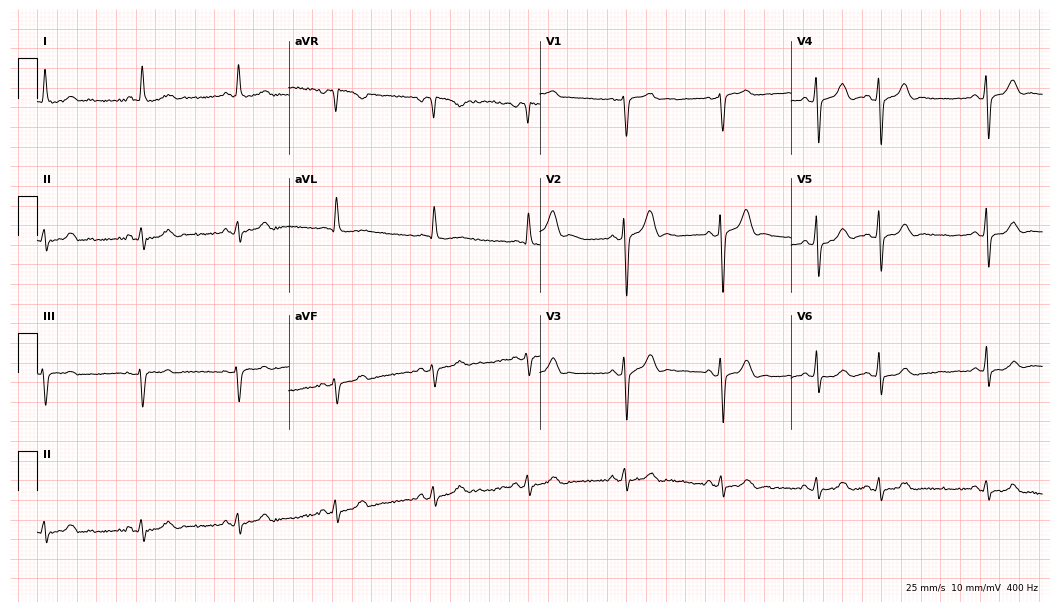
Standard 12-lead ECG recorded from a male, 80 years old. None of these six findings is recorded: first-degree AV block, right bundle branch block, left bundle branch block, sinus bradycardia, atrial fibrillation, sinus tachycardia. Only these six findings were labelled.